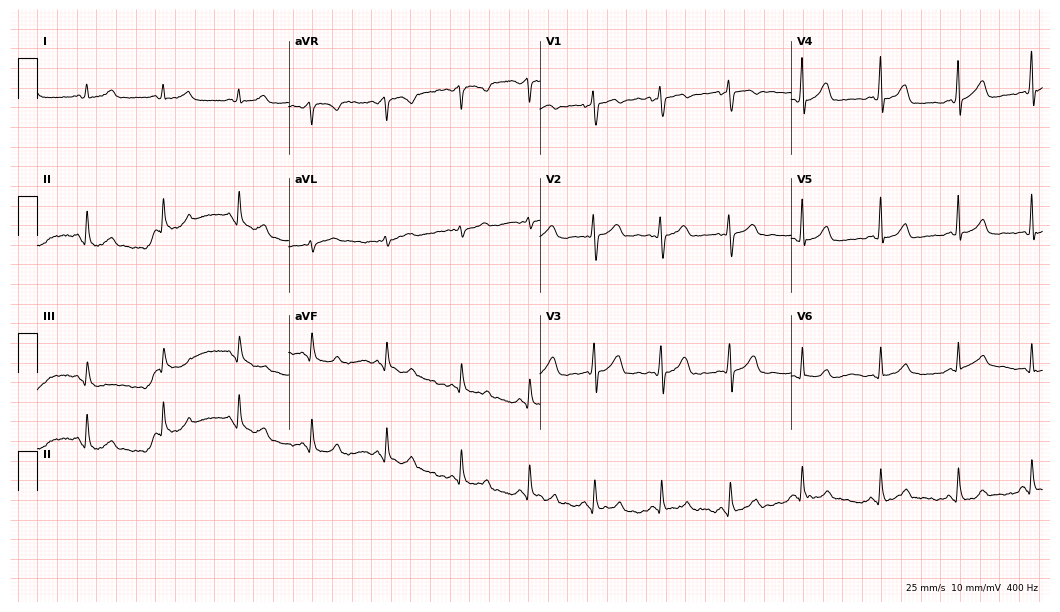
Electrocardiogram (10.2-second recording at 400 Hz), a woman, 33 years old. Of the six screened findings (first-degree AV block, right bundle branch block, left bundle branch block, sinus bradycardia, atrial fibrillation, sinus tachycardia), none is recorded.